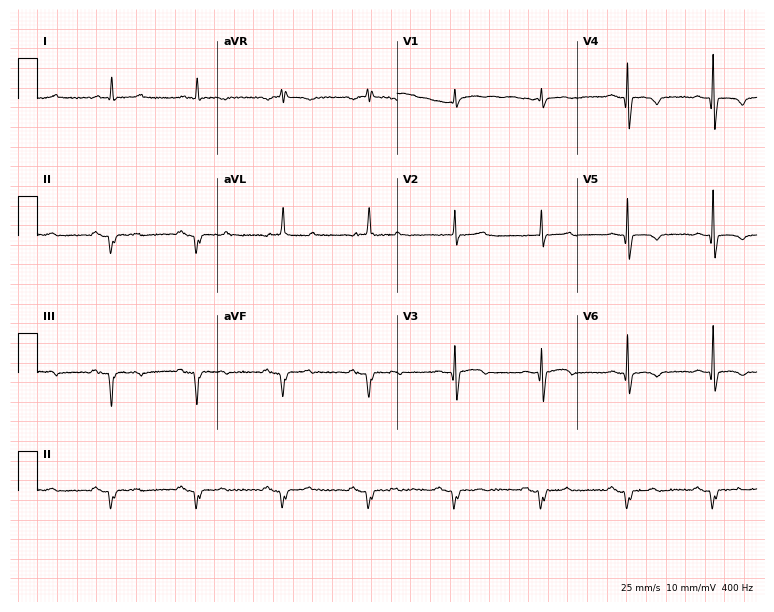
Electrocardiogram, a 76-year-old male. Of the six screened findings (first-degree AV block, right bundle branch block, left bundle branch block, sinus bradycardia, atrial fibrillation, sinus tachycardia), none is recorded. Findings outside these six are not listed.